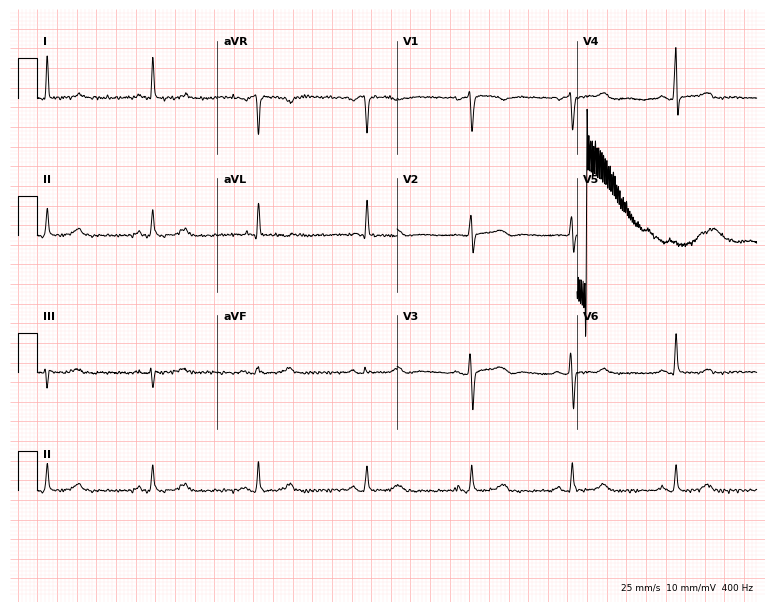
Electrocardiogram, a female patient, 66 years old. Of the six screened findings (first-degree AV block, right bundle branch block (RBBB), left bundle branch block (LBBB), sinus bradycardia, atrial fibrillation (AF), sinus tachycardia), none is recorded. Other findings, if any, are not listed.